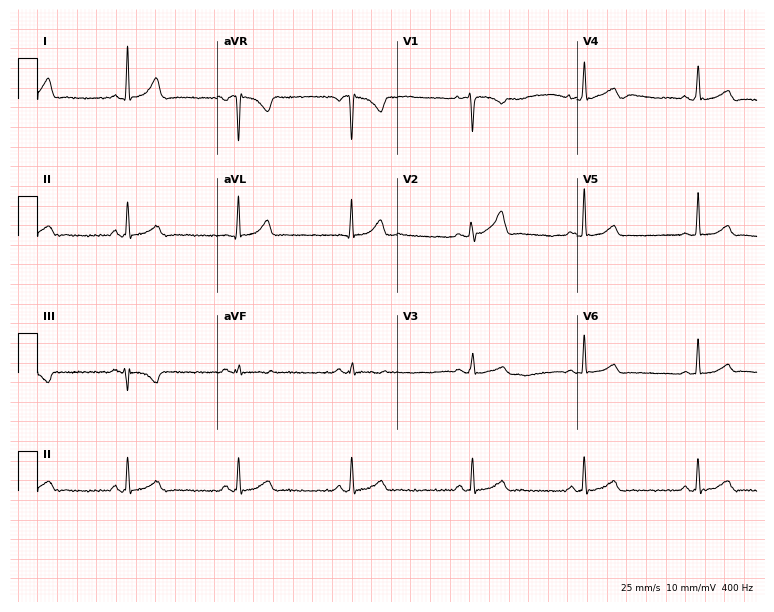
12-lead ECG from a female patient, 29 years old (7.3-second recording at 400 Hz). Recorded interpretation: within normal limits.